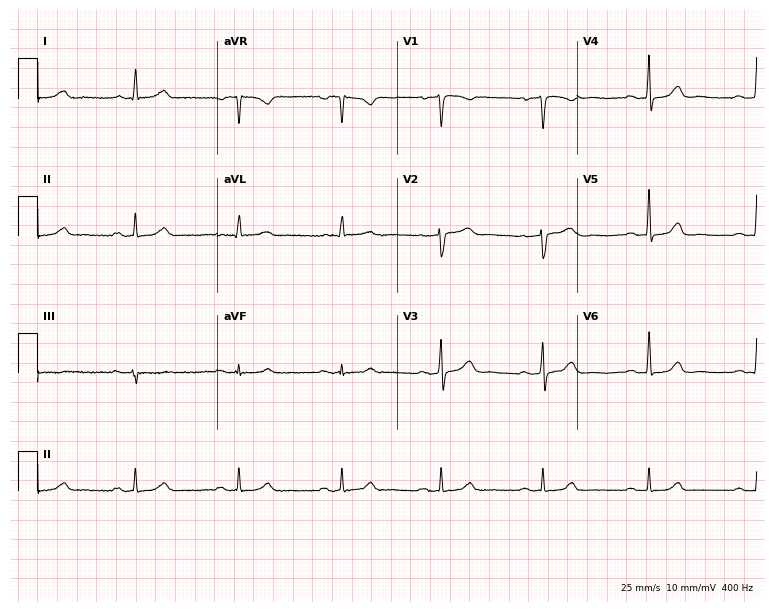
12-lead ECG from a male patient, 61 years old (7.3-second recording at 400 Hz). Shows first-degree AV block.